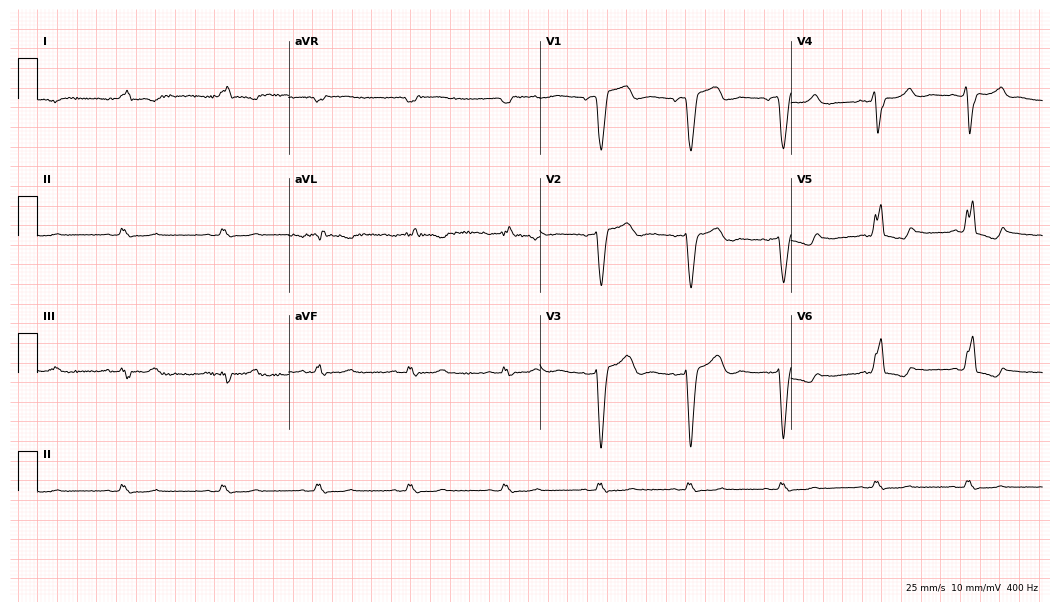
Resting 12-lead electrocardiogram (10.2-second recording at 400 Hz). Patient: a female, 67 years old. The tracing shows left bundle branch block.